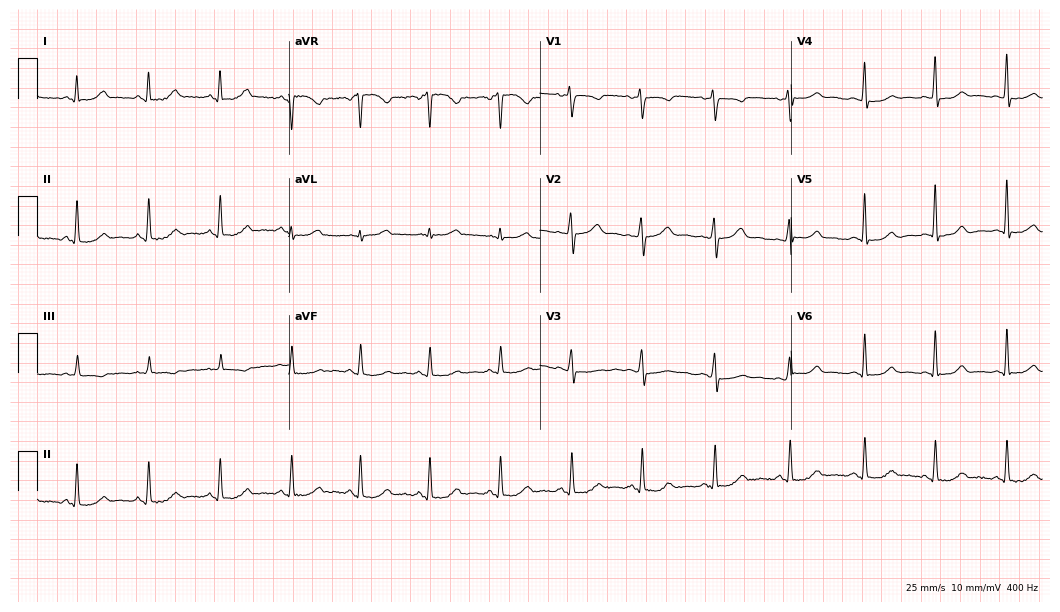
Resting 12-lead electrocardiogram (10.2-second recording at 400 Hz). Patient: a 26-year-old female. Read as a normal ECG.